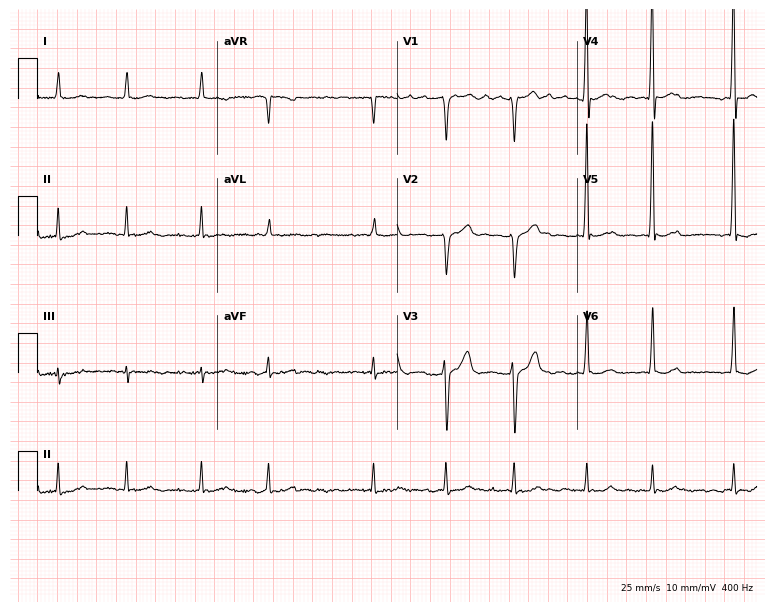
Electrocardiogram (7.3-second recording at 400 Hz), a male patient, 77 years old. Interpretation includes atrial fibrillation (AF).